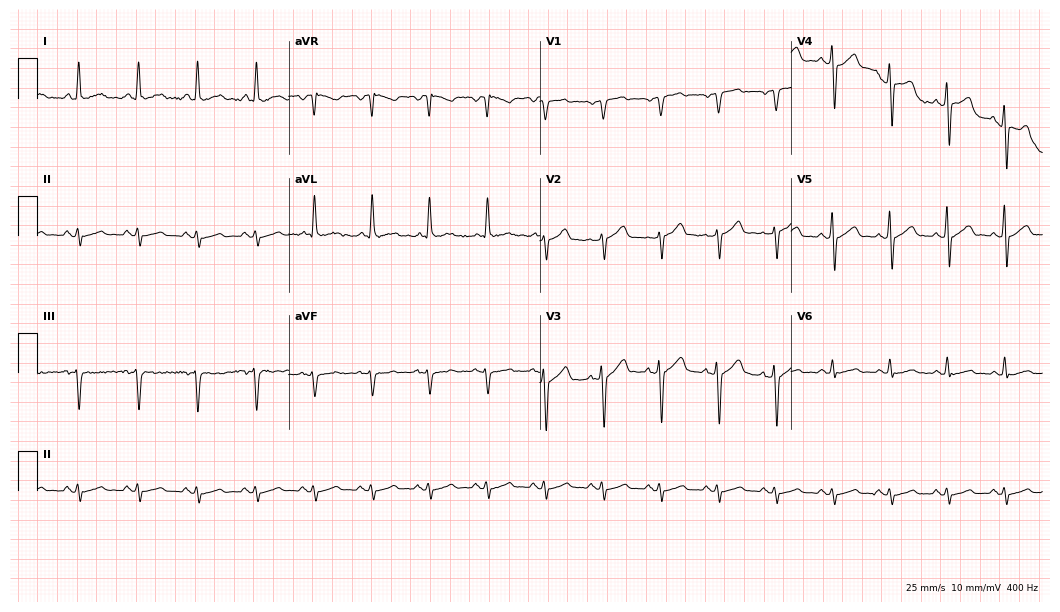
Standard 12-lead ECG recorded from a 65-year-old man. Read as a normal ECG.